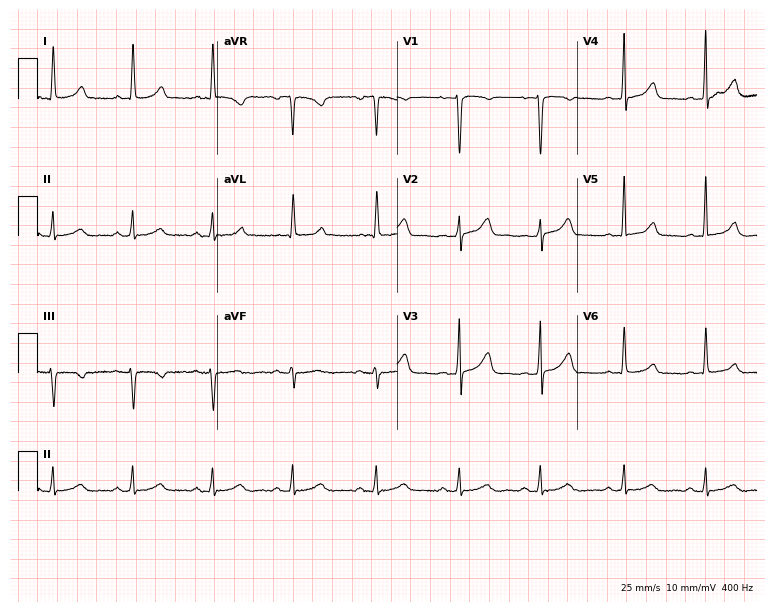
12-lead ECG from a 45-year-old woman. Labelled as a normal ECG.